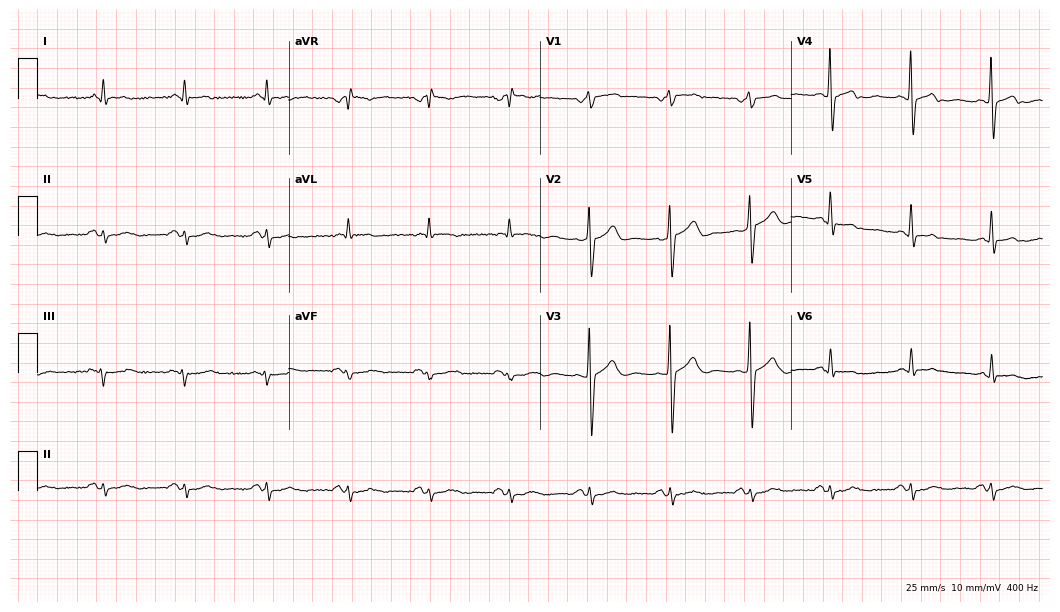
12-lead ECG from a 63-year-old man. No first-degree AV block, right bundle branch block (RBBB), left bundle branch block (LBBB), sinus bradycardia, atrial fibrillation (AF) or sinus tachycardia recorded for this tracing.